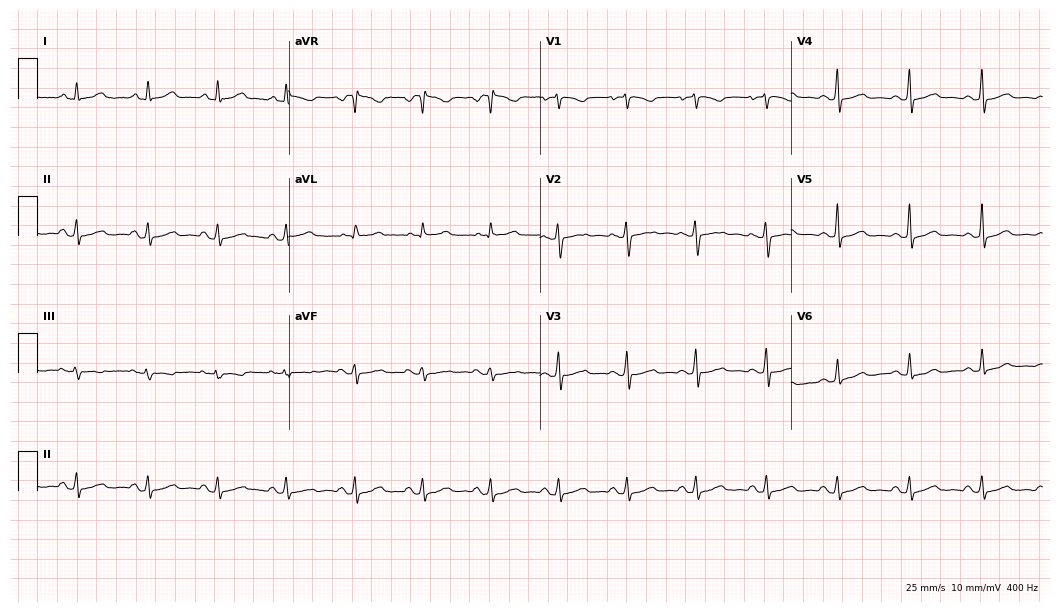
Resting 12-lead electrocardiogram (10.2-second recording at 400 Hz). Patient: a 42-year-old female. Read as a normal ECG.